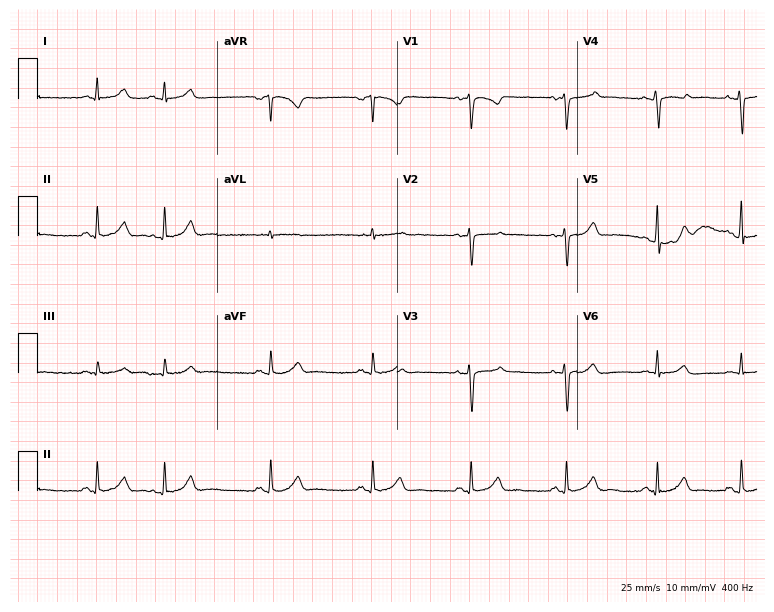
Standard 12-lead ECG recorded from a 37-year-old female. None of these six findings is recorded: first-degree AV block, right bundle branch block, left bundle branch block, sinus bradycardia, atrial fibrillation, sinus tachycardia.